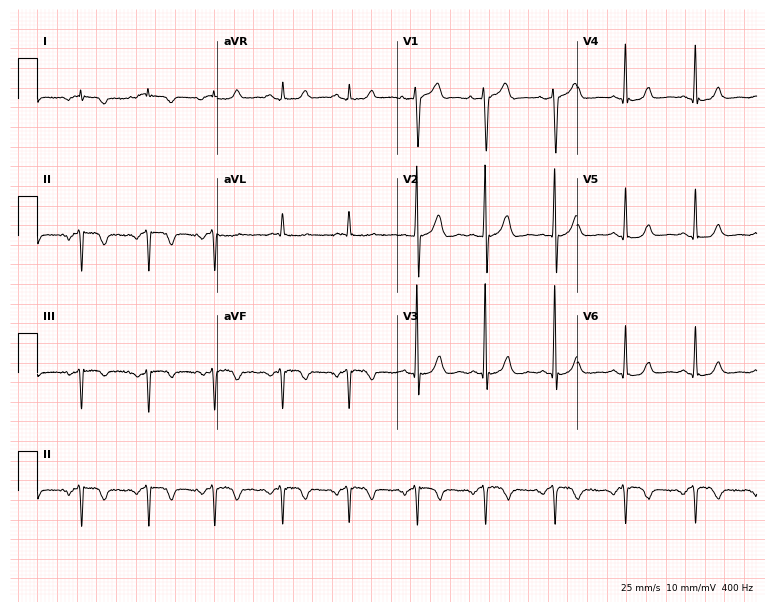
ECG (7.3-second recording at 400 Hz) — a male patient, 74 years old. Screened for six findings — first-degree AV block, right bundle branch block, left bundle branch block, sinus bradycardia, atrial fibrillation, sinus tachycardia — none is recorded.